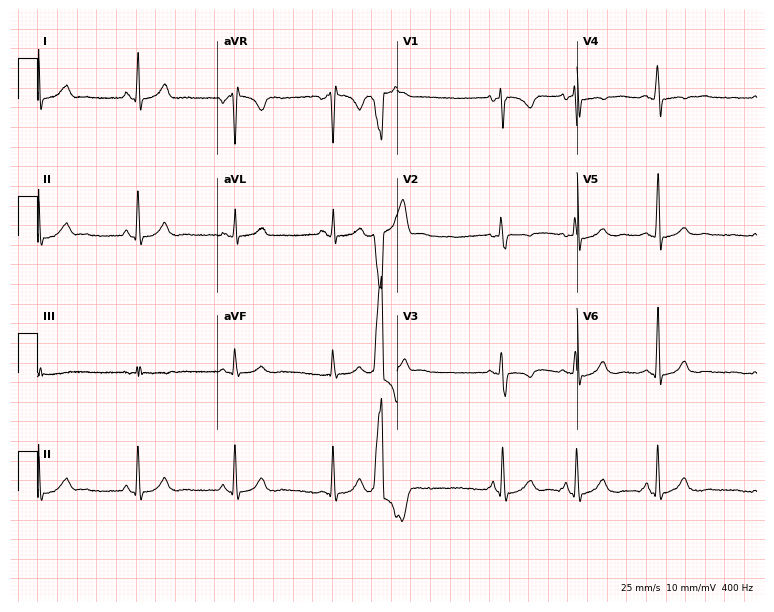
ECG — a 20-year-old female patient. Screened for six findings — first-degree AV block, right bundle branch block (RBBB), left bundle branch block (LBBB), sinus bradycardia, atrial fibrillation (AF), sinus tachycardia — none is recorded.